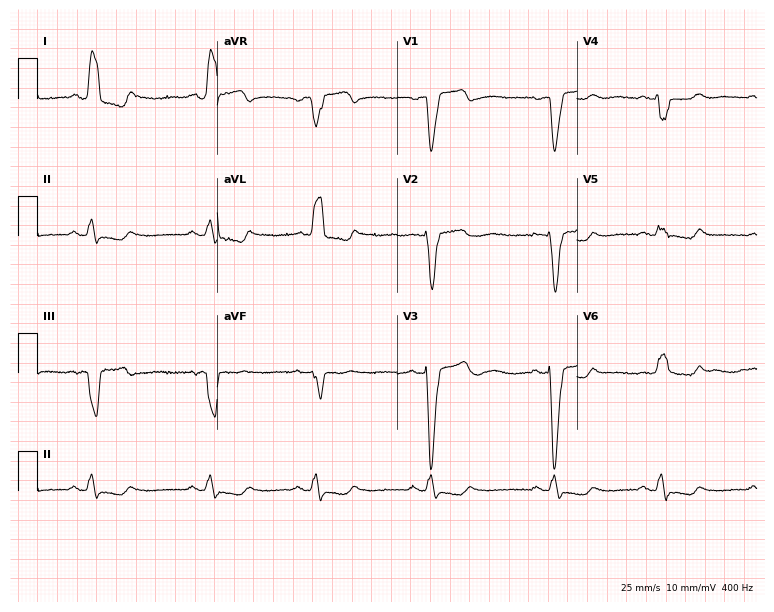
12-lead ECG from a 58-year-old female patient. Shows left bundle branch block (LBBB).